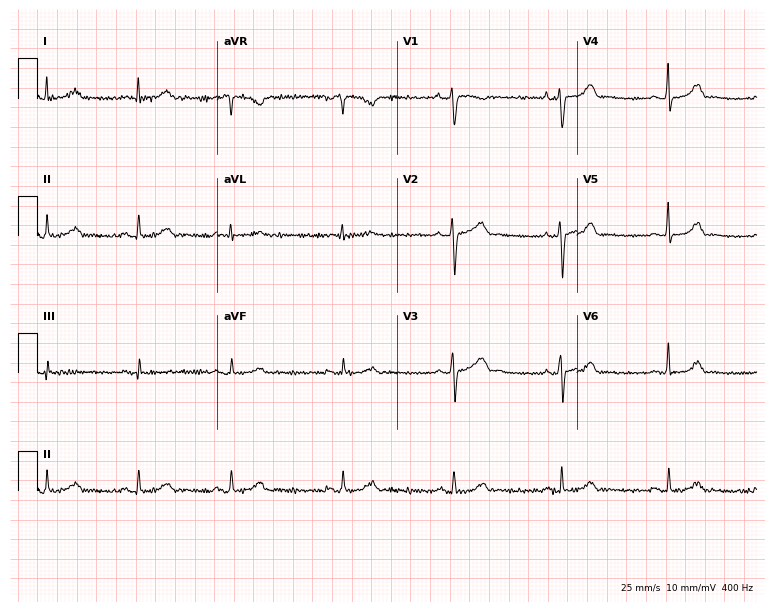
12-lead ECG from a female, 43 years old (7.3-second recording at 400 Hz). No first-degree AV block, right bundle branch block, left bundle branch block, sinus bradycardia, atrial fibrillation or sinus tachycardia recorded for this tracing. Other findings, if any, are not listed.